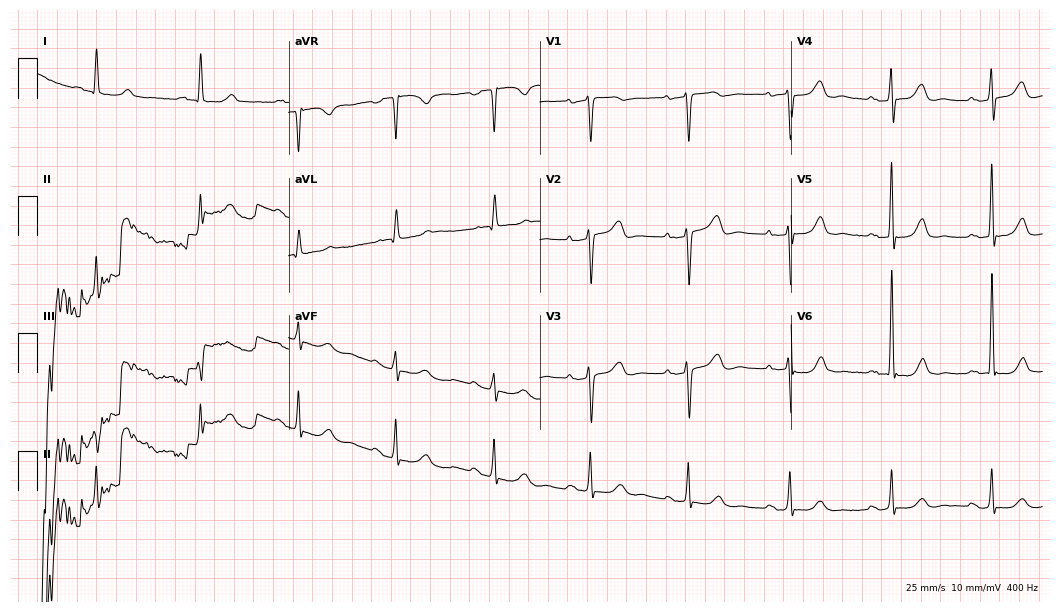
12-lead ECG (10.2-second recording at 400 Hz) from a 59-year-old woman. Labelled as a normal ECG.